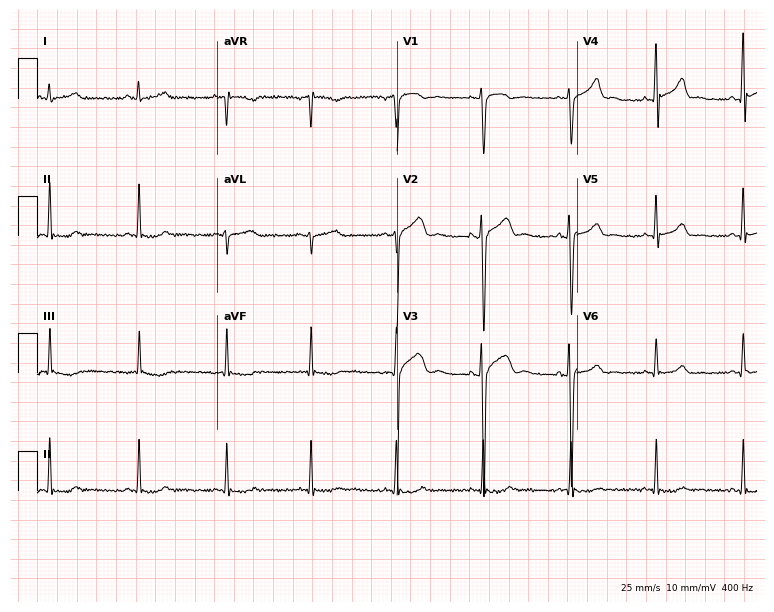
ECG (7.3-second recording at 400 Hz) — a 26-year-old male patient. Screened for six findings — first-degree AV block, right bundle branch block, left bundle branch block, sinus bradycardia, atrial fibrillation, sinus tachycardia — none is recorded.